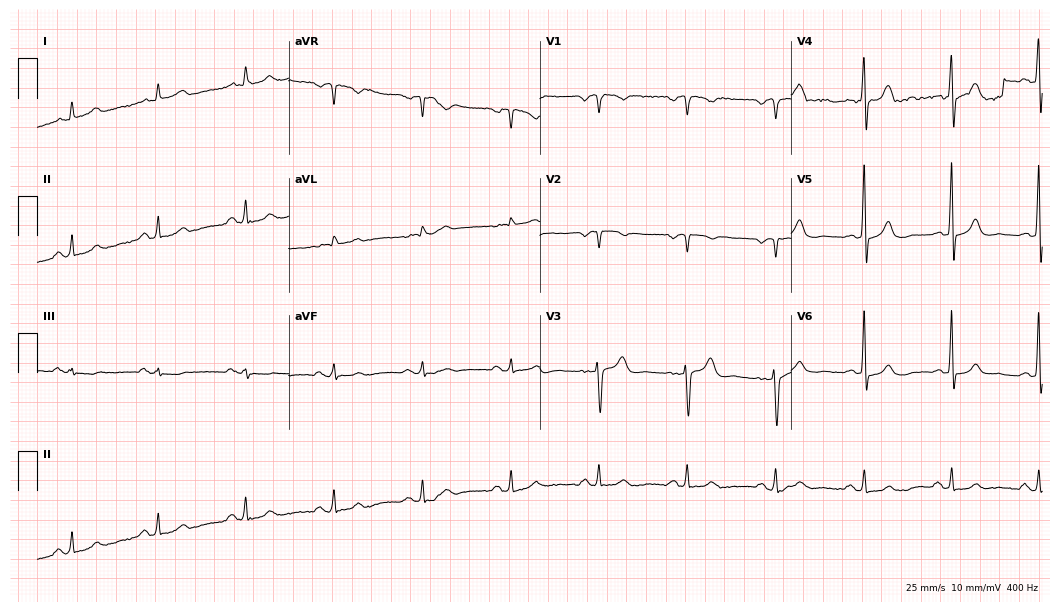
Resting 12-lead electrocardiogram. Patient: a 53-year-old male. Read as a normal ECG.